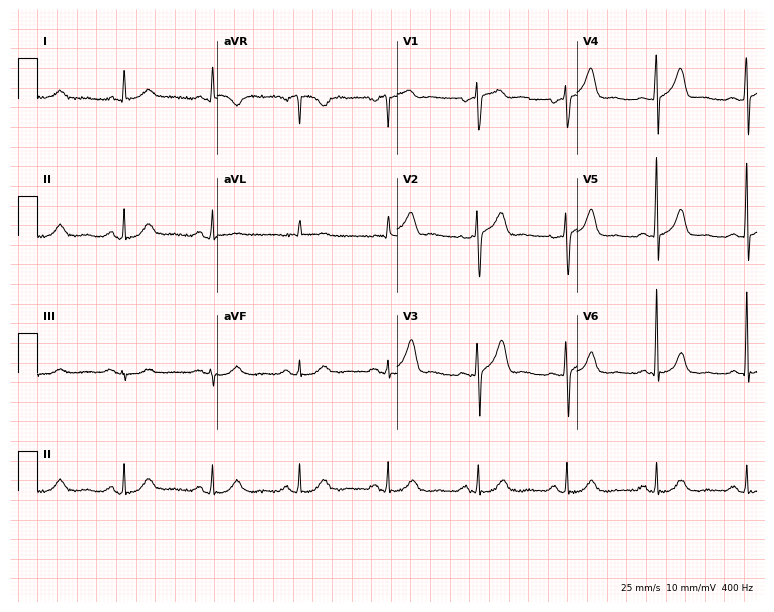
Standard 12-lead ECG recorded from a male patient, 76 years old. Read as a normal ECG.